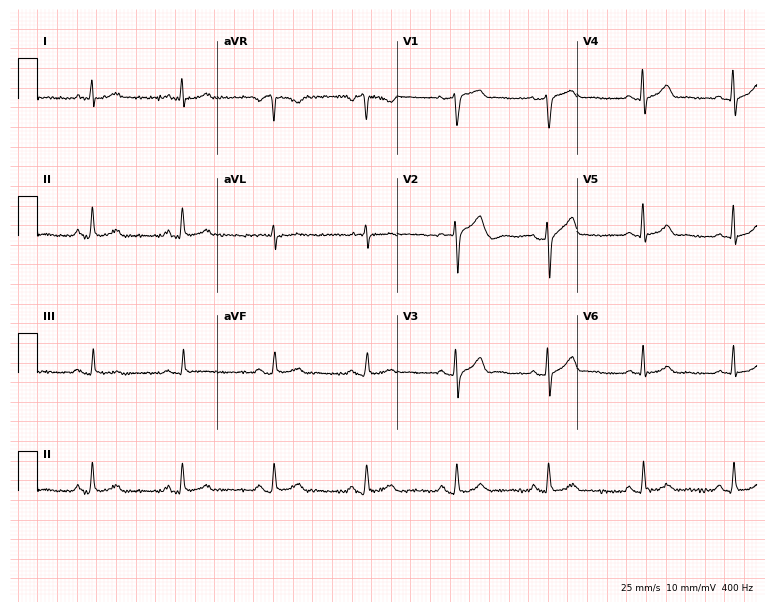
ECG (7.3-second recording at 400 Hz) — a 60-year-old male. Labelled as a normal ECG.